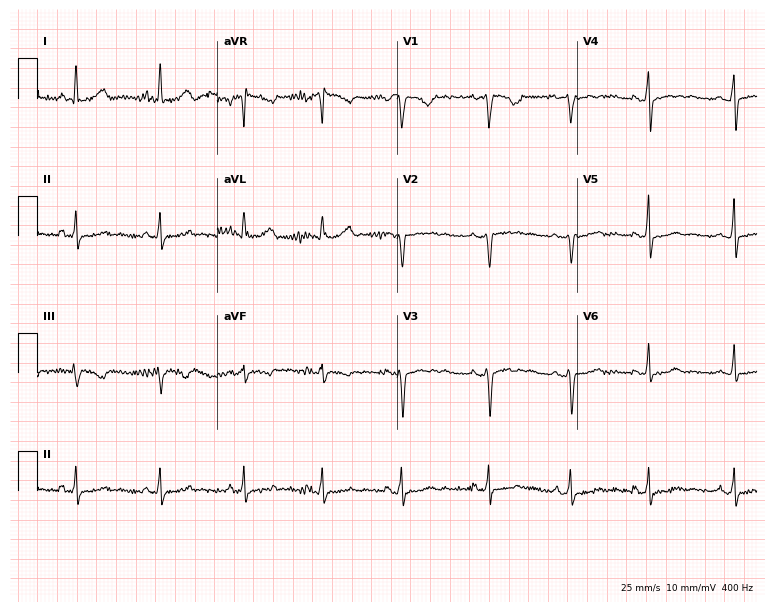
Electrocardiogram, a 30-year-old male patient. Of the six screened findings (first-degree AV block, right bundle branch block, left bundle branch block, sinus bradycardia, atrial fibrillation, sinus tachycardia), none is recorded.